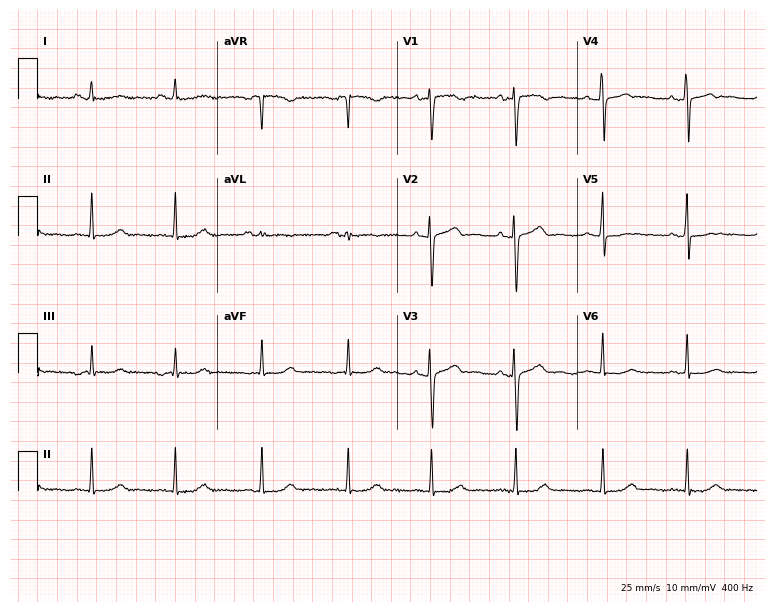
Standard 12-lead ECG recorded from a 31-year-old female patient. Read as a normal ECG.